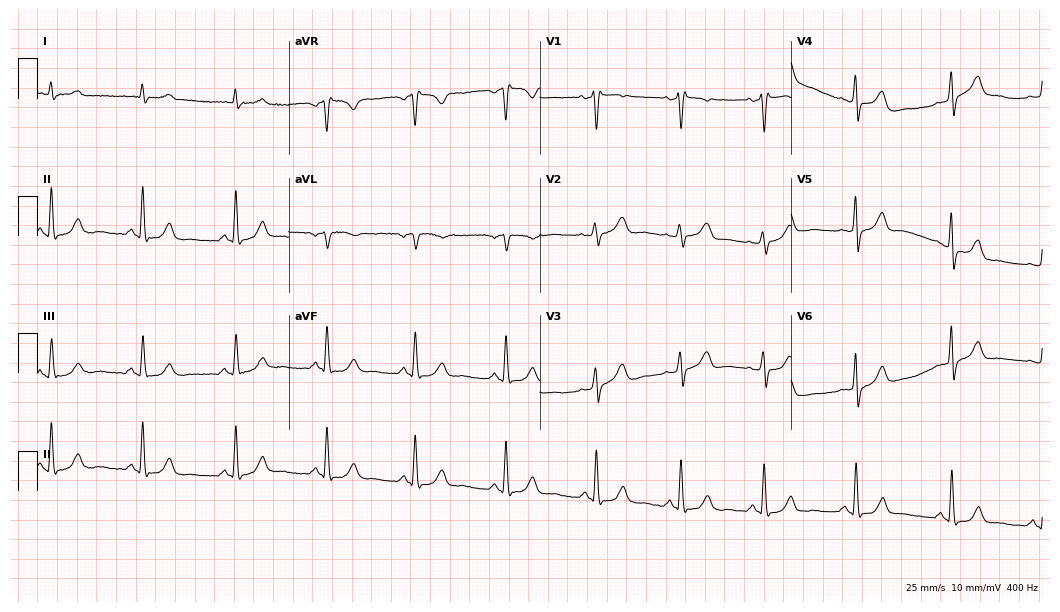
ECG — a male patient, 53 years old. Screened for six findings — first-degree AV block, right bundle branch block, left bundle branch block, sinus bradycardia, atrial fibrillation, sinus tachycardia — none is recorded.